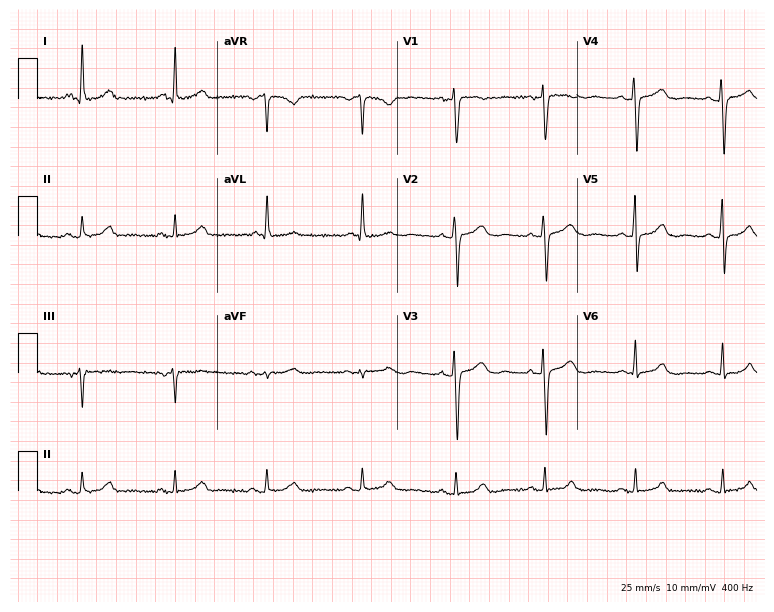
12-lead ECG from a female patient, 50 years old. Recorded interpretation: within normal limits.